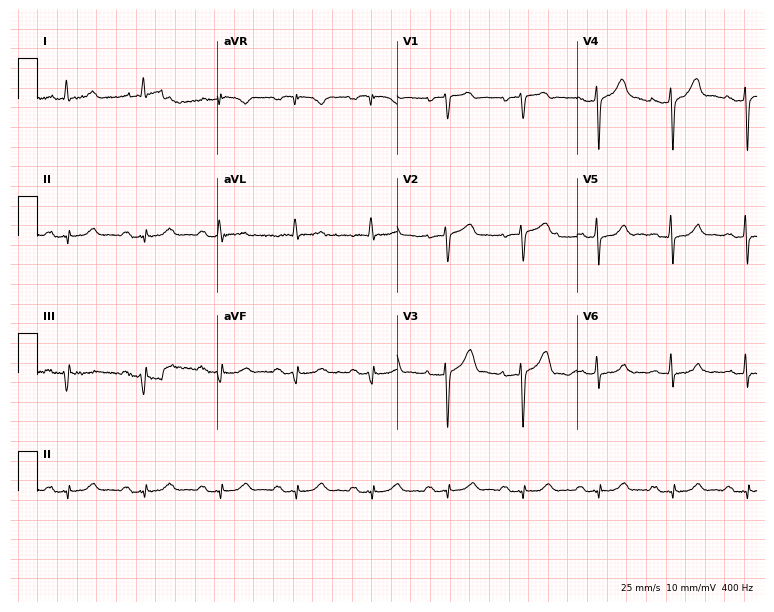
12-lead ECG from a male, 74 years old. No first-degree AV block, right bundle branch block, left bundle branch block, sinus bradycardia, atrial fibrillation or sinus tachycardia recorded for this tracing.